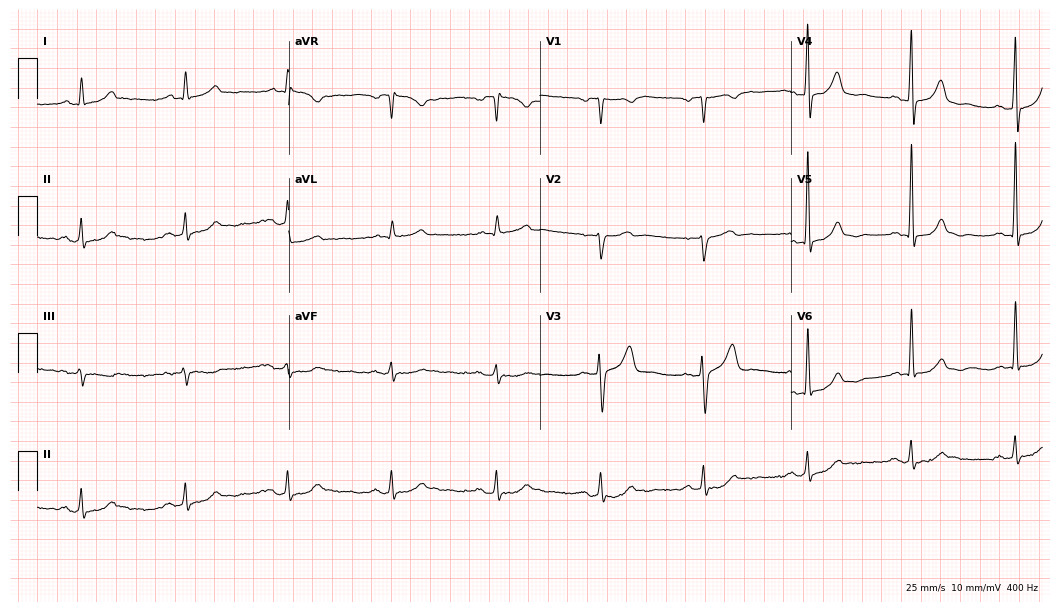
Electrocardiogram, an 83-year-old male patient. Of the six screened findings (first-degree AV block, right bundle branch block (RBBB), left bundle branch block (LBBB), sinus bradycardia, atrial fibrillation (AF), sinus tachycardia), none is recorded.